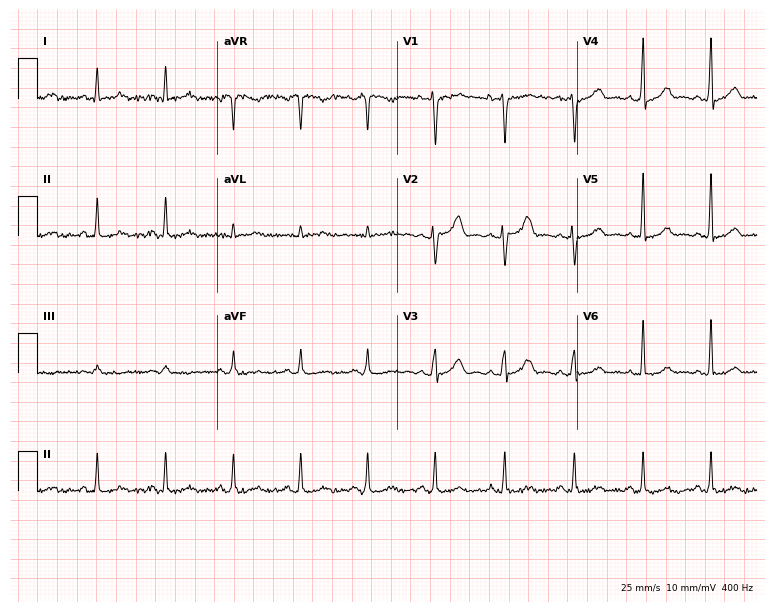
Electrocardiogram, a female patient, 36 years old. Of the six screened findings (first-degree AV block, right bundle branch block, left bundle branch block, sinus bradycardia, atrial fibrillation, sinus tachycardia), none is recorded.